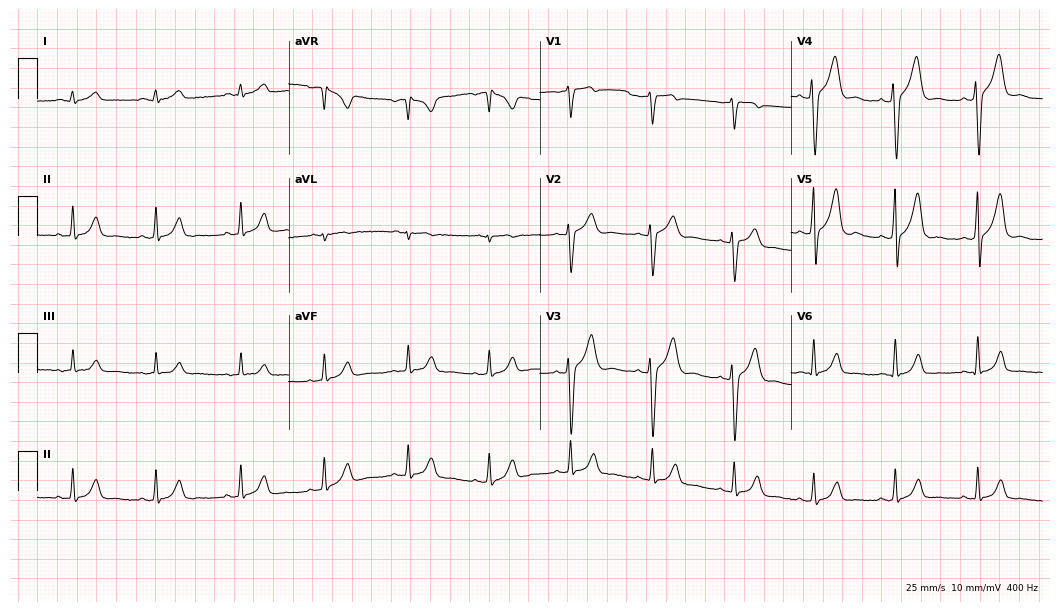
Resting 12-lead electrocardiogram. Patient: a male, 48 years old. Read as a normal ECG.